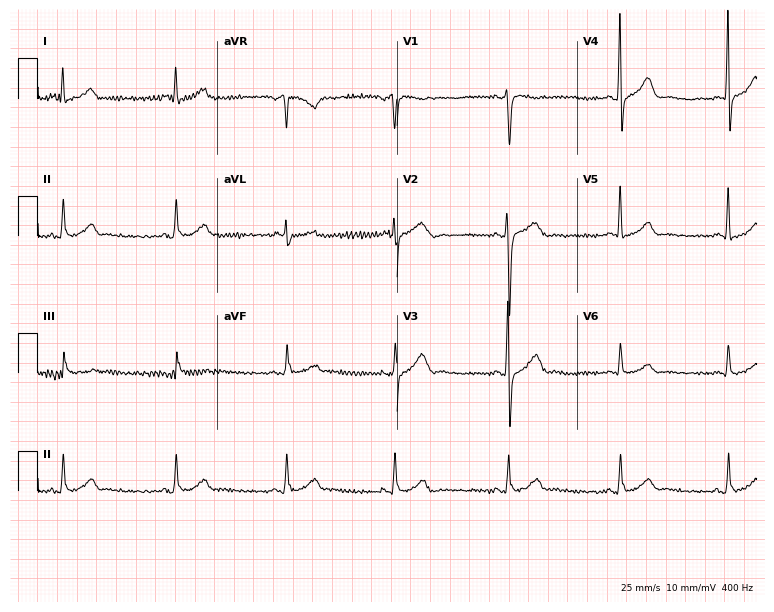
12-lead ECG (7.3-second recording at 400 Hz) from a male, 49 years old. Screened for six findings — first-degree AV block, right bundle branch block (RBBB), left bundle branch block (LBBB), sinus bradycardia, atrial fibrillation (AF), sinus tachycardia — none is recorded. Findings outside these six are not listed.